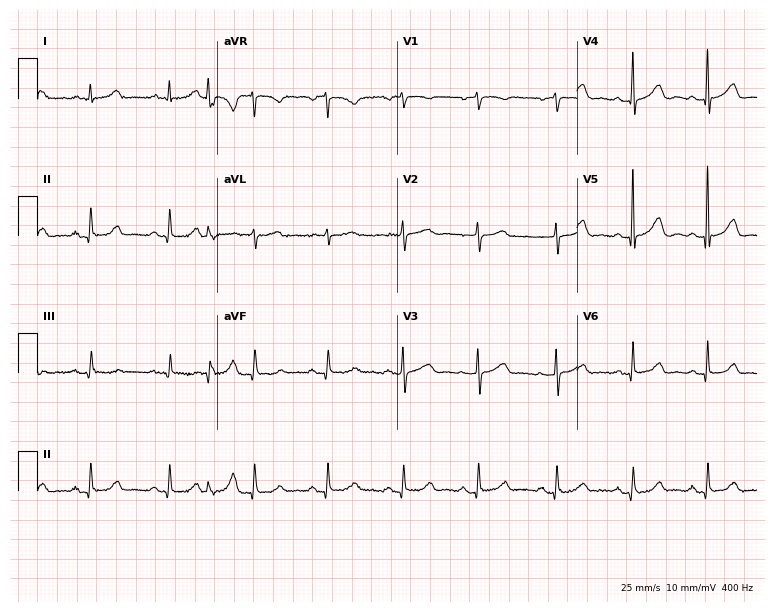
Standard 12-lead ECG recorded from a 71-year-old female patient (7.3-second recording at 400 Hz). None of these six findings is recorded: first-degree AV block, right bundle branch block (RBBB), left bundle branch block (LBBB), sinus bradycardia, atrial fibrillation (AF), sinus tachycardia.